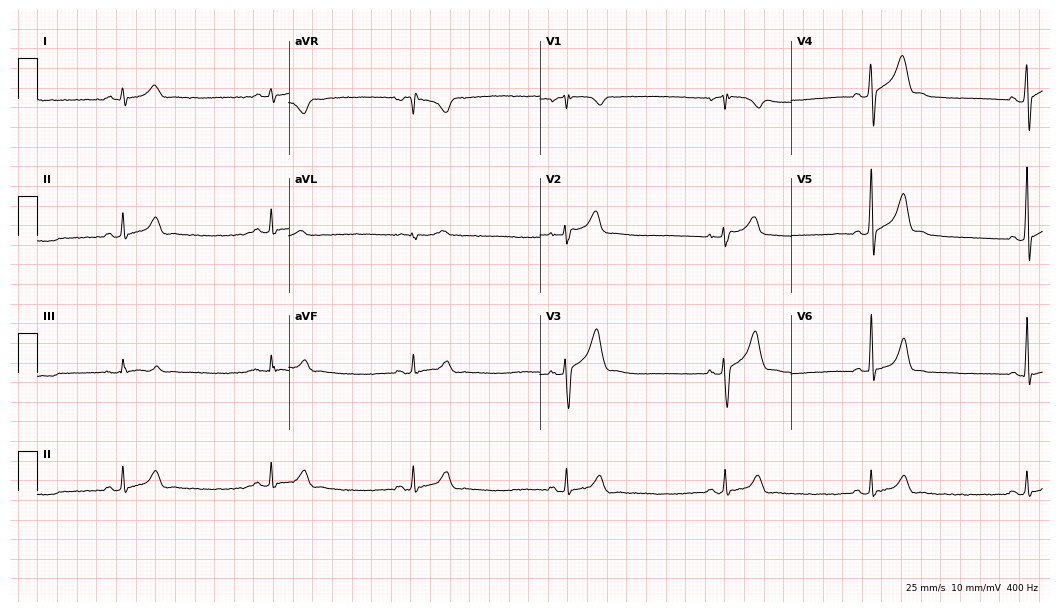
ECG (10.2-second recording at 400 Hz) — a 40-year-old male patient. Findings include sinus bradycardia (a sinus rate of 50 beats per minute or less).